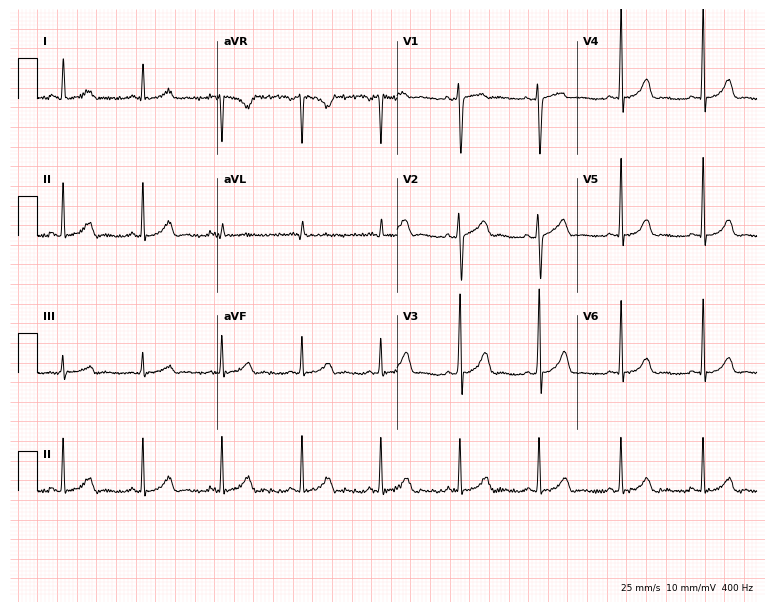
Resting 12-lead electrocardiogram (7.3-second recording at 400 Hz). Patient: a 47-year-old female. Read as a normal ECG.